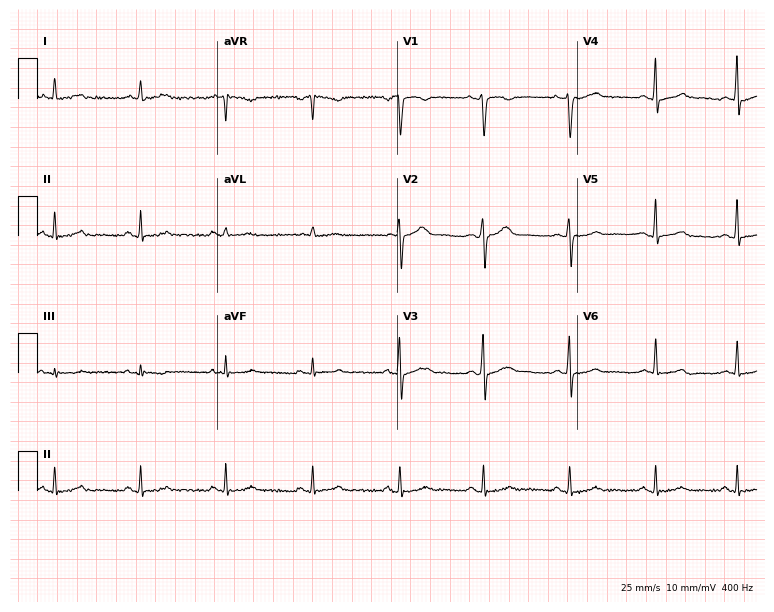
Standard 12-lead ECG recorded from a woman, 41 years old. None of these six findings is recorded: first-degree AV block, right bundle branch block (RBBB), left bundle branch block (LBBB), sinus bradycardia, atrial fibrillation (AF), sinus tachycardia. Only these six findings were labelled.